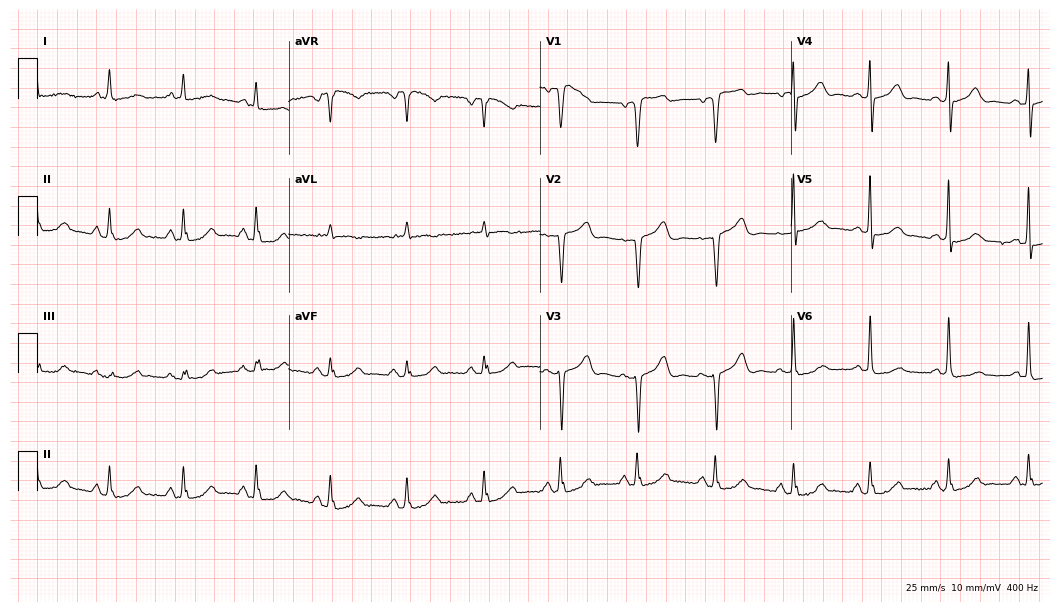
ECG (10.2-second recording at 400 Hz) — a 64-year-old female patient. Screened for six findings — first-degree AV block, right bundle branch block (RBBB), left bundle branch block (LBBB), sinus bradycardia, atrial fibrillation (AF), sinus tachycardia — none is recorded.